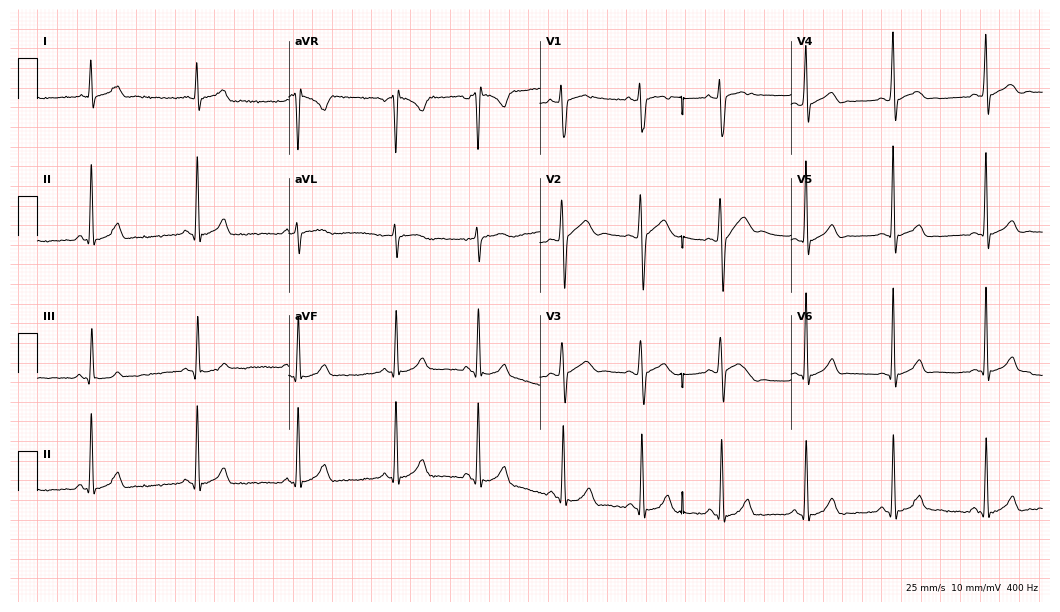
12-lead ECG (10.2-second recording at 400 Hz) from a 20-year-old male. Labelled as a normal ECG.